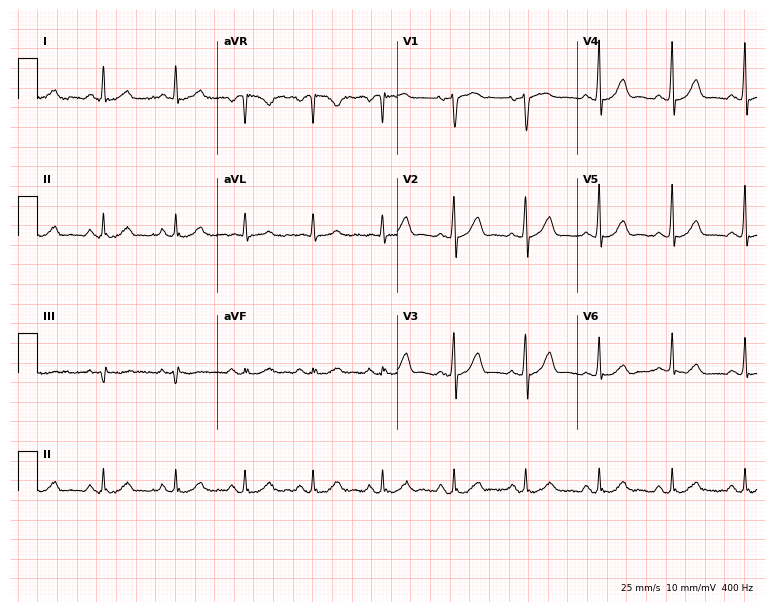
Resting 12-lead electrocardiogram. Patient: a 68-year-old female. Read as a normal ECG.